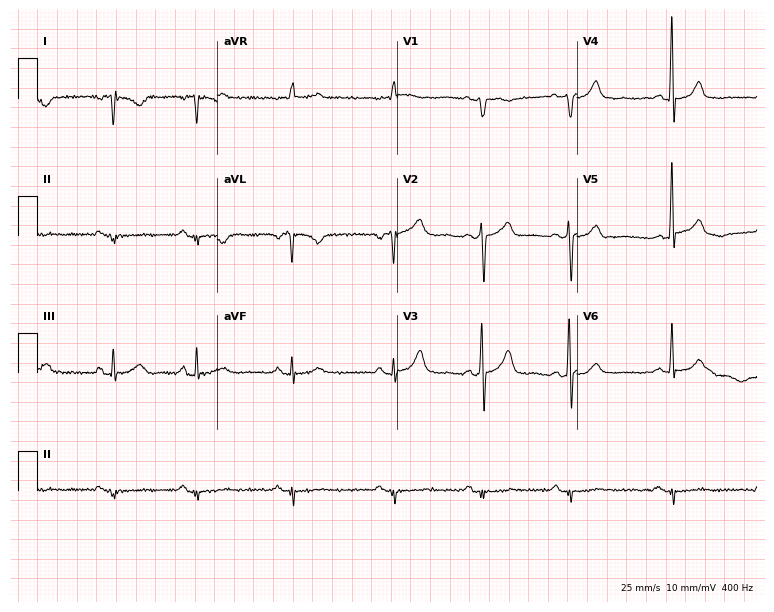
ECG — a 59-year-old woman. Screened for six findings — first-degree AV block, right bundle branch block, left bundle branch block, sinus bradycardia, atrial fibrillation, sinus tachycardia — none is recorded. Findings outside these six are not listed.